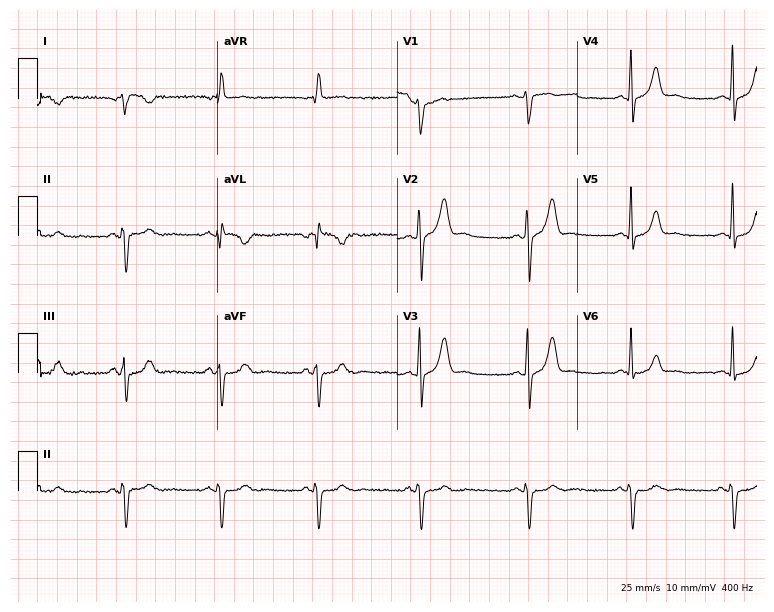
Standard 12-lead ECG recorded from a male, 43 years old. None of these six findings is recorded: first-degree AV block, right bundle branch block, left bundle branch block, sinus bradycardia, atrial fibrillation, sinus tachycardia. Findings outside these six are not listed.